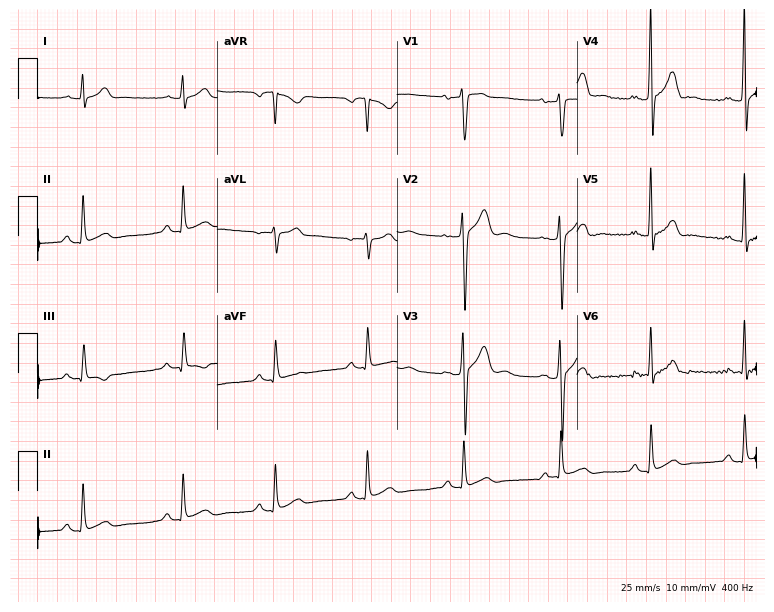
12-lead ECG from a male patient, 24 years old. No first-degree AV block, right bundle branch block (RBBB), left bundle branch block (LBBB), sinus bradycardia, atrial fibrillation (AF) or sinus tachycardia recorded for this tracing. Findings outside these six are not listed.